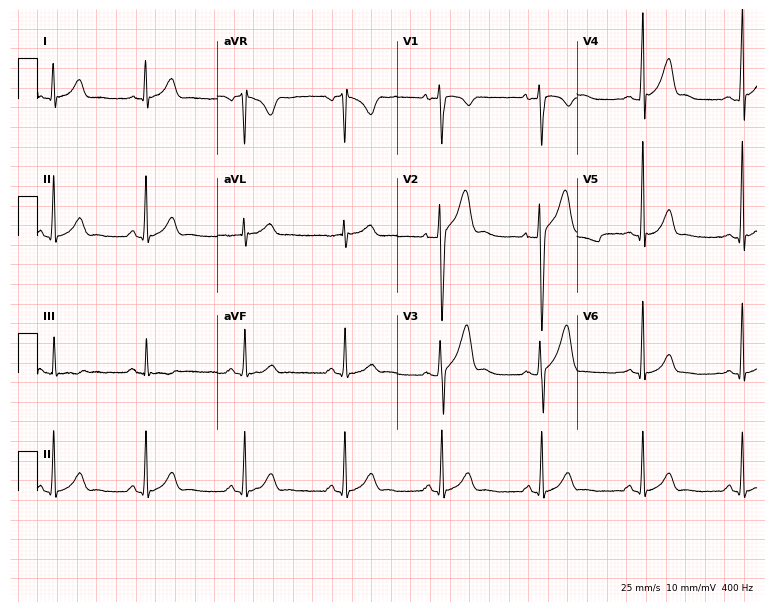
12-lead ECG (7.3-second recording at 400 Hz) from a male patient, 25 years old. Labelled as a normal ECG.